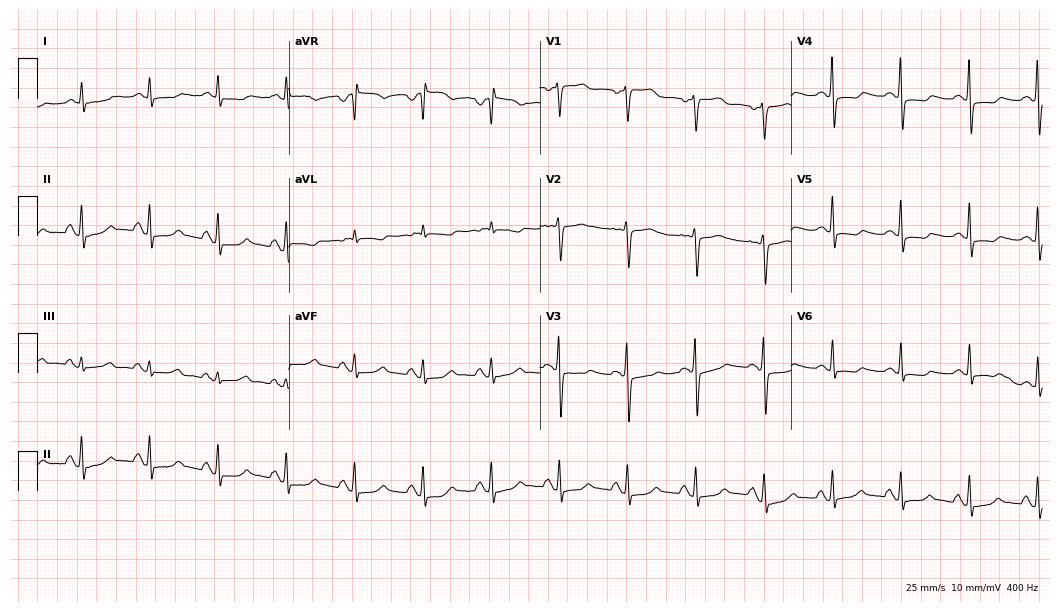
12-lead ECG from a 46-year-old female patient. Screened for six findings — first-degree AV block, right bundle branch block, left bundle branch block, sinus bradycardia, atrial fibrillation, sinus tachycardia — none is recorded.